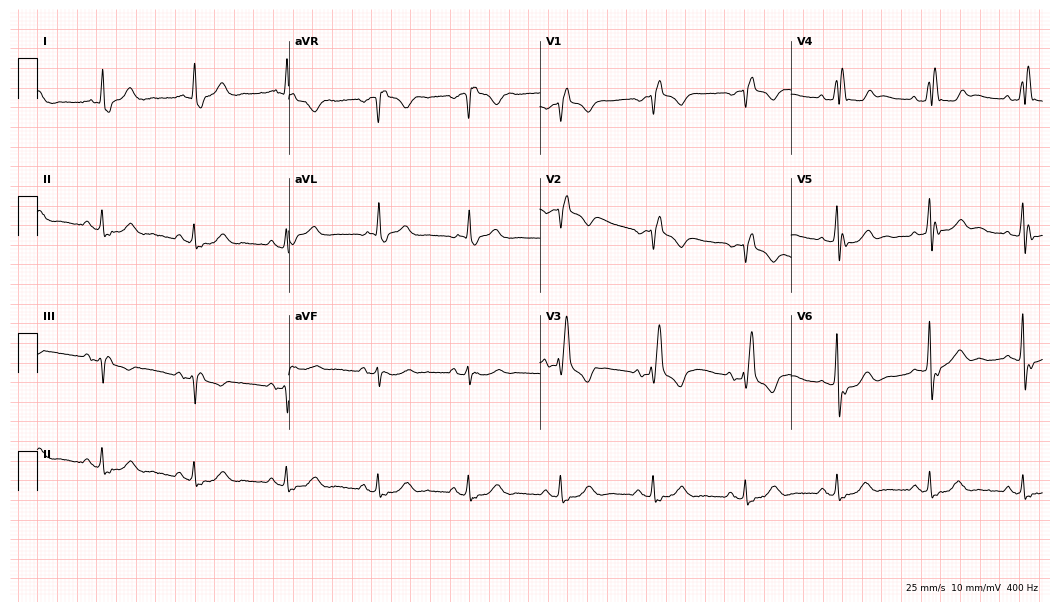
12-lead ECG (10.2-second recording at 400 Hz) from a 76-year-old male. Findings include right bundle branch block.